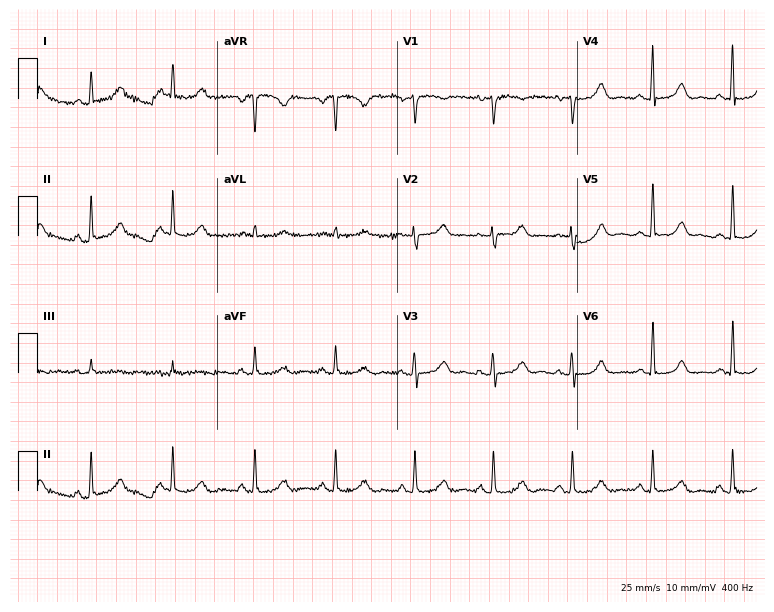
Standard 12-lead ECG recorded from a 53-year-old woman. Read as a normal ECG.